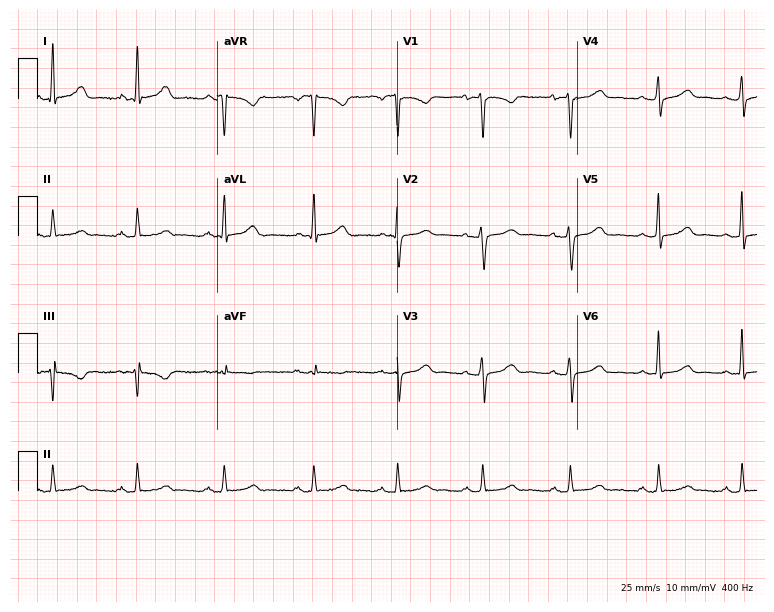
12-lead ECG (7.3-second recording at 400 Hz) from a woman, 35 years old. Screened for six findings — first-degree AV block, right bundle branch block, left bundle branch block, sinus bradycardia, atrial fibrillation, sinus tachycardia — none is recorded. Only these six findings were labelled.